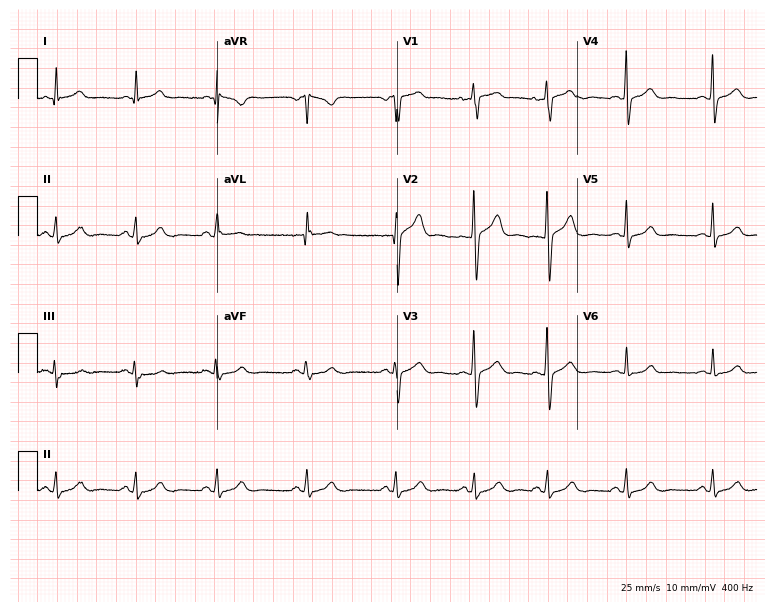
ECG (7.3-second recording at 400 Hz) — a female patient, 29 years old. Labelled as a normal ECG.